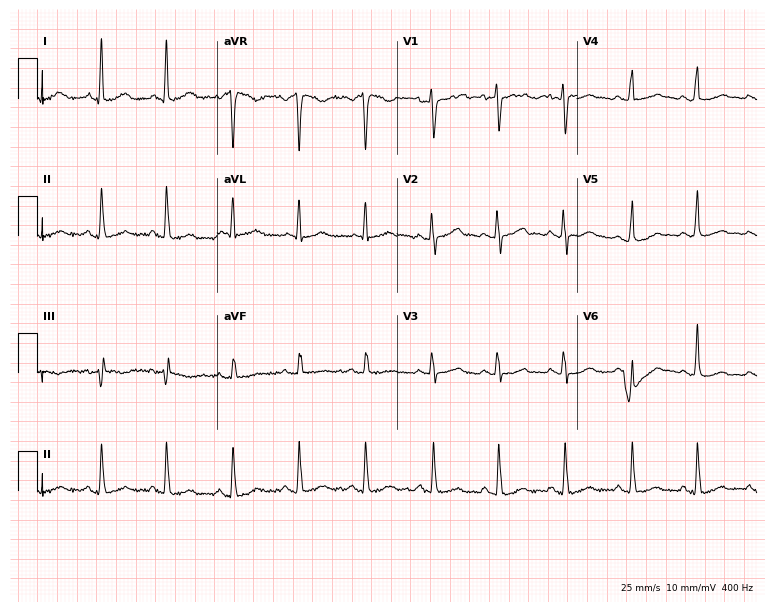
Electrocardiogram (7.3-second recording at 400 Hz), a 25-year-old female. Overall reading on record: normal ECG.